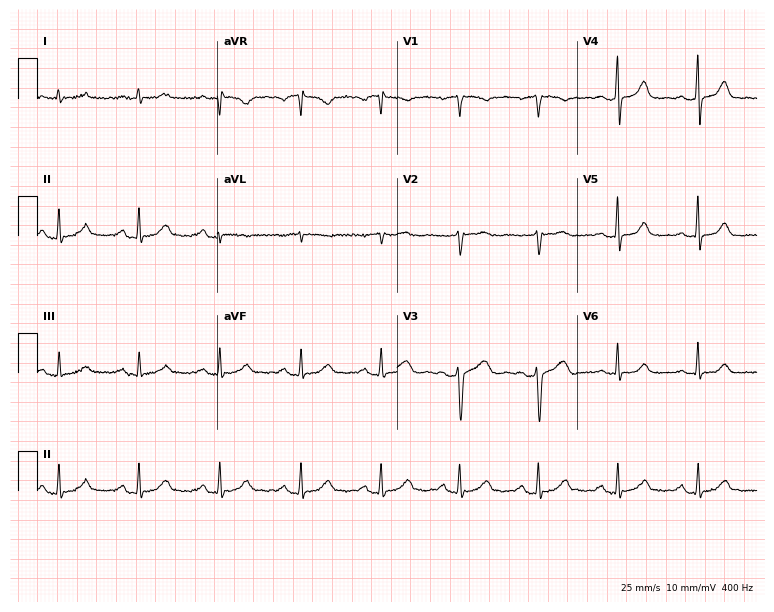
Electrocardiogram, a 51-year-old woman. Overall reading on record: normal ECG.